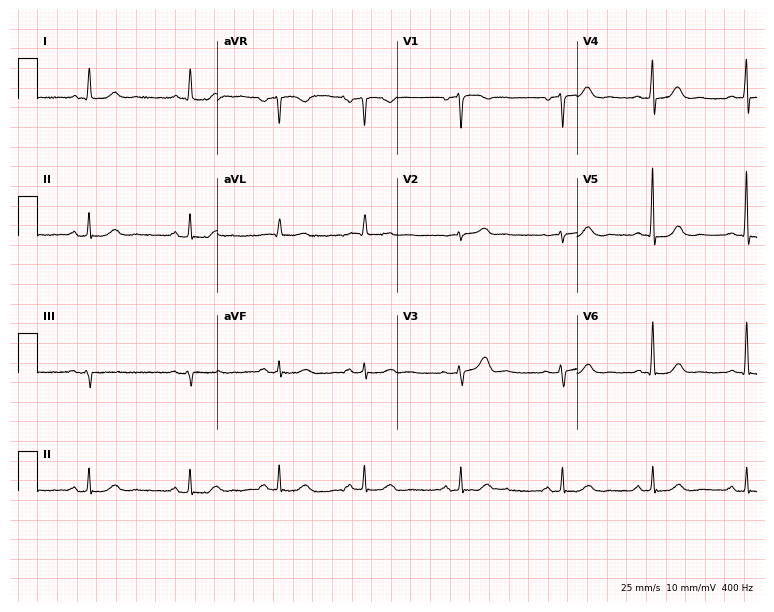
12-lead ECG from a 79-year-old female patient. Labelled as a normal ECG.